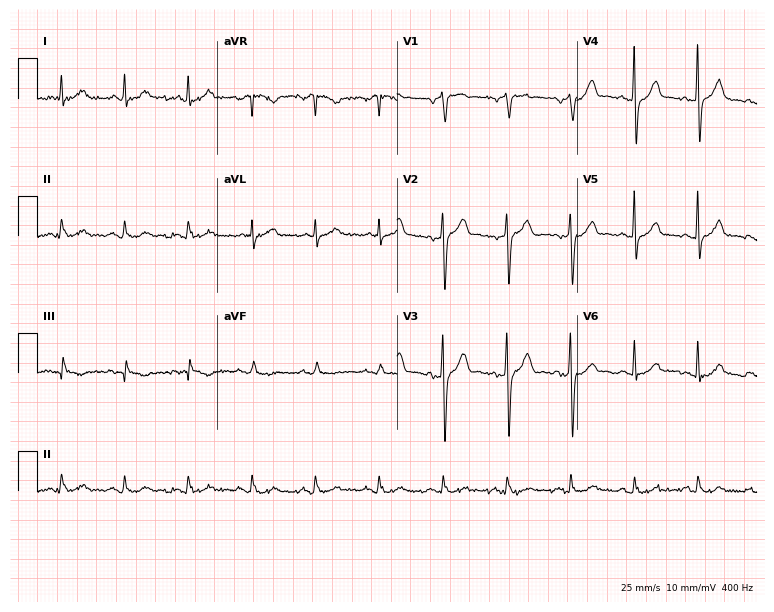
12-lead ECG from a male patient, 67 years old. Labelled as a normal ECG.